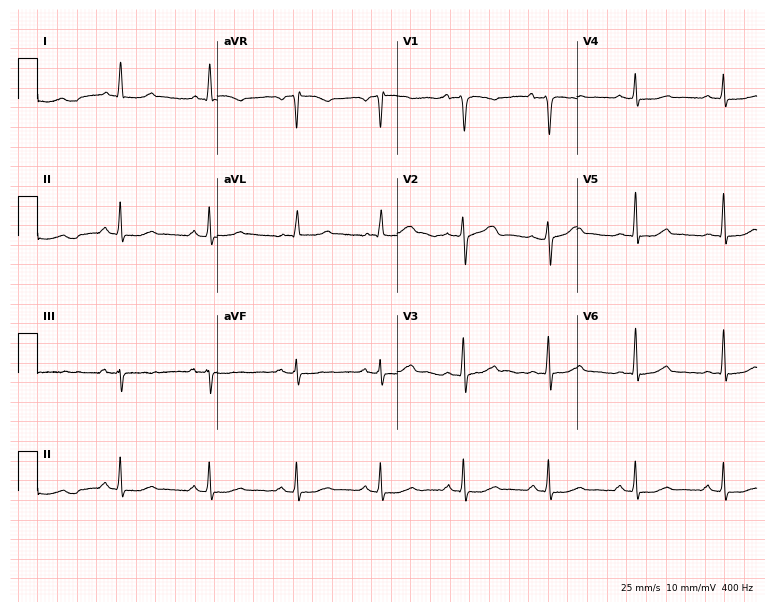
Resting 12-lead electrocardiogram. Patient: a 50-year-old woman. None of these six findings is recorded: first-degree AV block, right bundle branch block, left bundle branch block, sinus bradycardia, atrial fibrillation, sinus tachycardia.